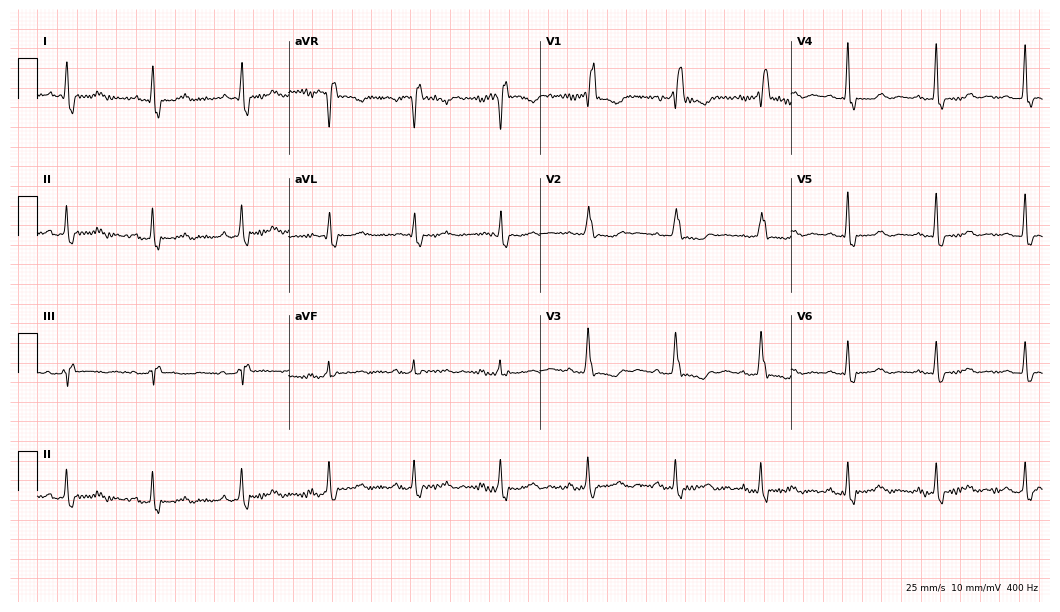
Resting 12-lead electrocardiogram (10.2-second recording at 400 Hz). Patient: a 58-year-old female. The tracing shows right bundle branch block.